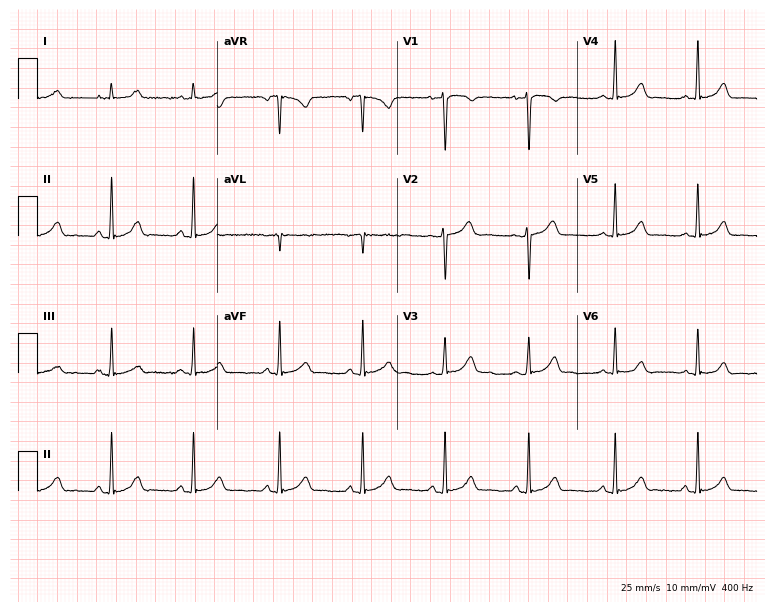
Standard 12-lead ECG recorded from a female, 47 years old (7.3-second recording at 400 Hz). None of these six findings is recorded: first-degree AV block, right bundle branch block, left bundle branch block, sinus bradycardia, atrial fibrillation, sinus tachycardia.